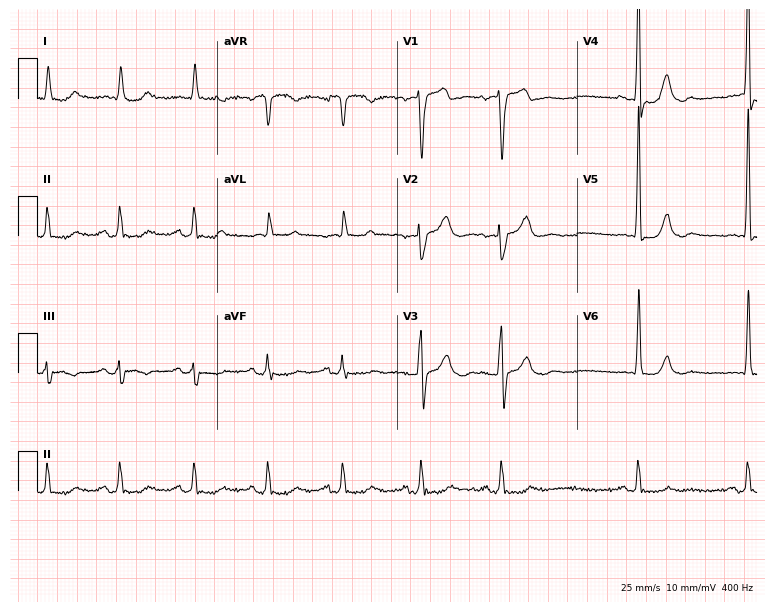
Electrocardiogram, a male patient, 77 years old. Of the six screened findings (first-degree AV block, right bundle branch block, left bundle branch block, sinus bradycardia, atrial fibrillation, sinus tachycardia), none is recorded.